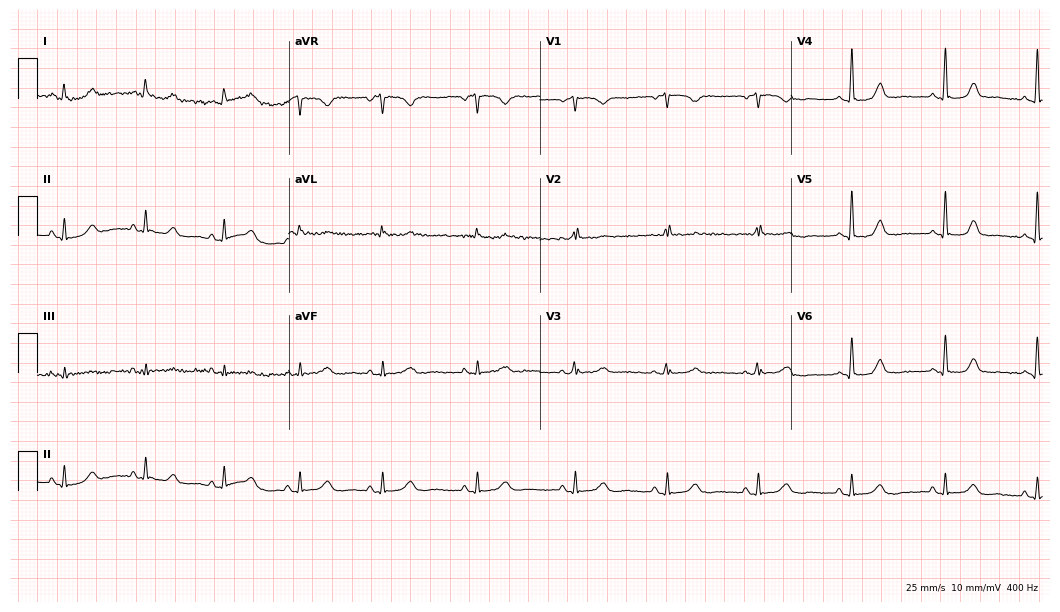
Standard 12-lead ECG recorded from a woman, 49 years old. None of these six findings is recorded: first-degree AV block, right bundle branch block (RBBB), left bundle branch block (LBBB), sinus bradycardia, atrial fibrillation (AF), sinus tachycardia.